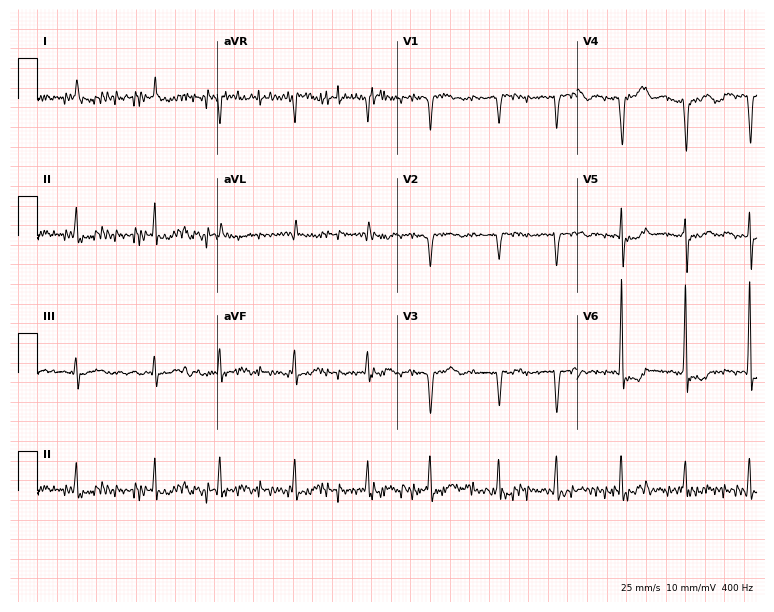
12-lead ECG from a 70-year-old woman. Screened for six findings — first-degree AV block, right bundle branch block (RBBB), left bundle branch block (LBBB), sinus bradycardia, atrial fibrillation (AF), sinus tachycardia — none is recorded.